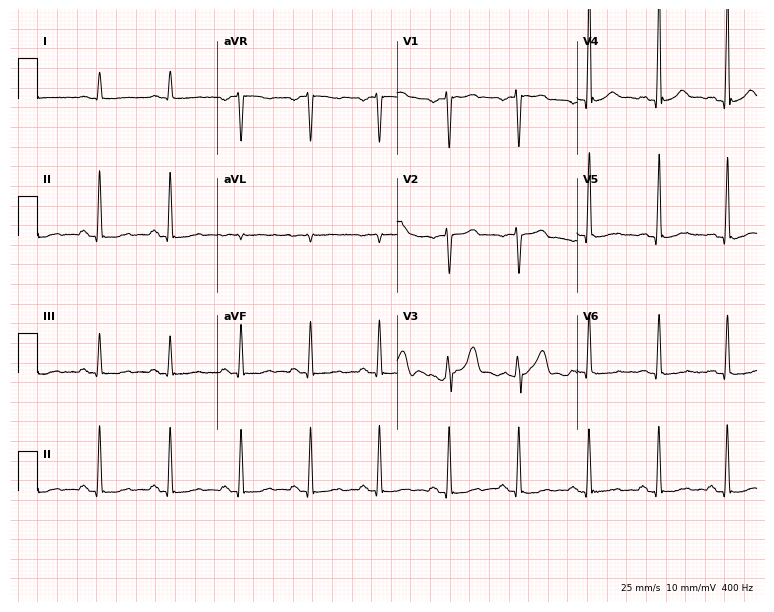
Resting 12-lead electrocardiogram (7.3-second recording at 400 Hz). Patient: a 57-year-old male. None of these six findings is recorded: first-degree AV block, right bundle branch block, left bundle branch block, sinus bradycardia, atrial fibrillation, sinus tachycardia.